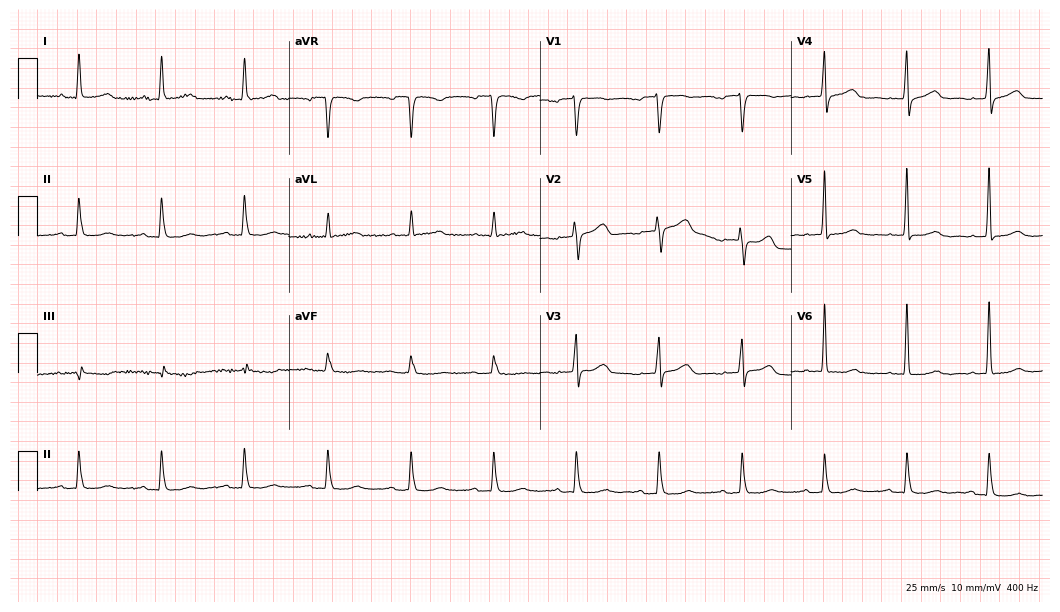
Resting 12-lead electrocardiogram. Patient: a female, 58 years old. Read as a normal ECG.